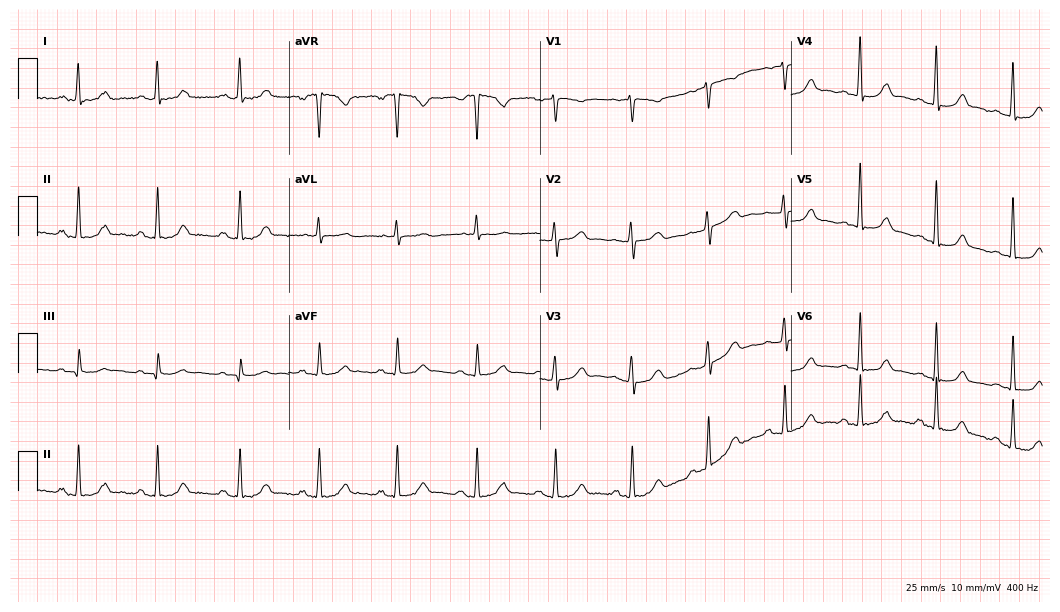
Resting 12-lead electrocardiogram (10.2-second recording at 400 Hz). Patient: a female, 51 years old. Read as a normal ECG.